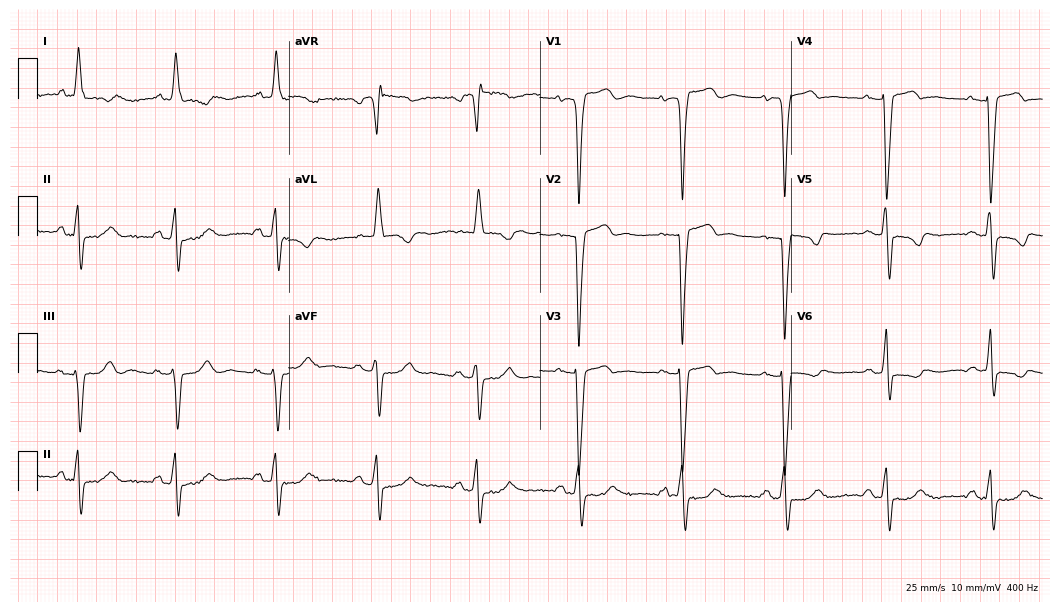
Resting 12-lead electrocardiogram. Patient: a woman, 78 years old. The tracing shows left bundle branch block.